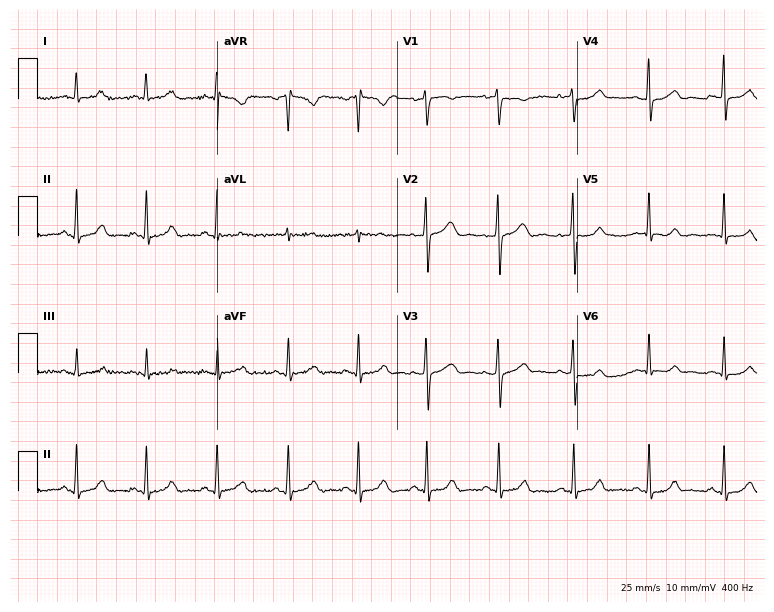
Standard 12-lead ECG recorded from a woman, 29 years old. Read as a normal ECG.